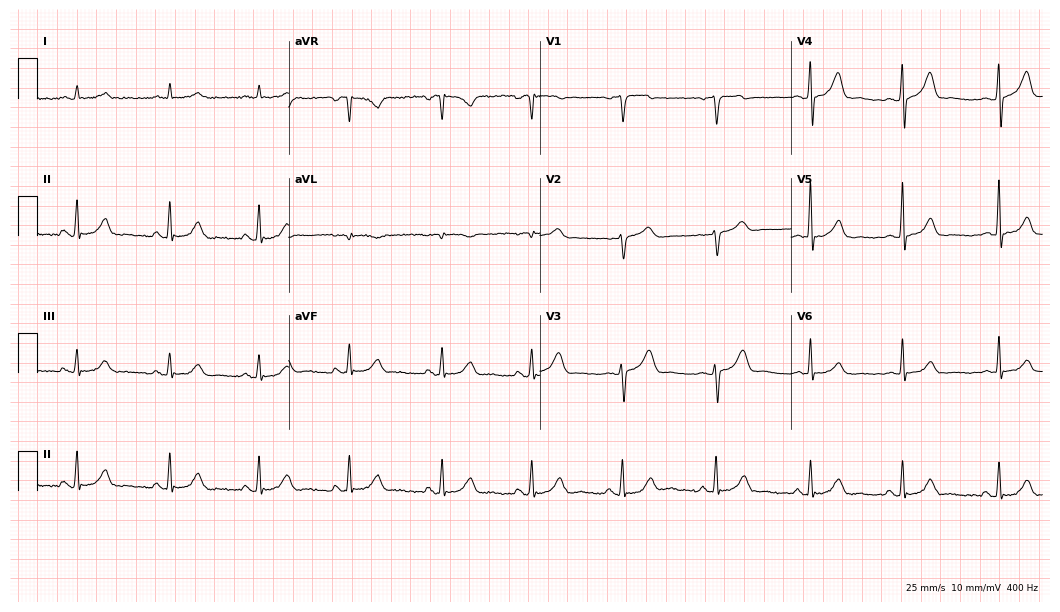
ECG (10.2-second recording at 400 Hz) — a 65-year-old male. Labelled as a normal ECG.